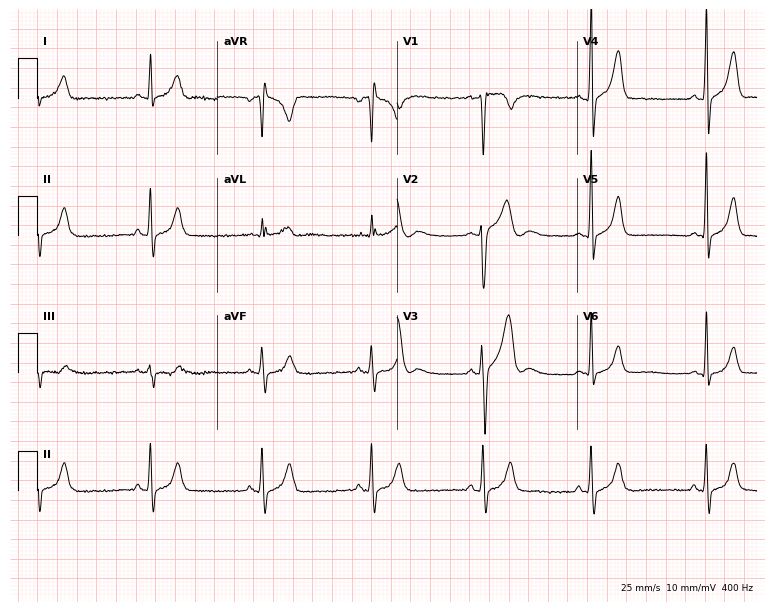
Resting 12-lead electrocardiogram (7.3-second recording at 400 Hz). Patient: a male, 22 years old. None of these six findings is recorded: first-degree AV block, right bundle branch block (RBBB), left bundle branch block (LBBB), sinus bradycardia, atrial fibrillation (AF), sinus tachycardia.